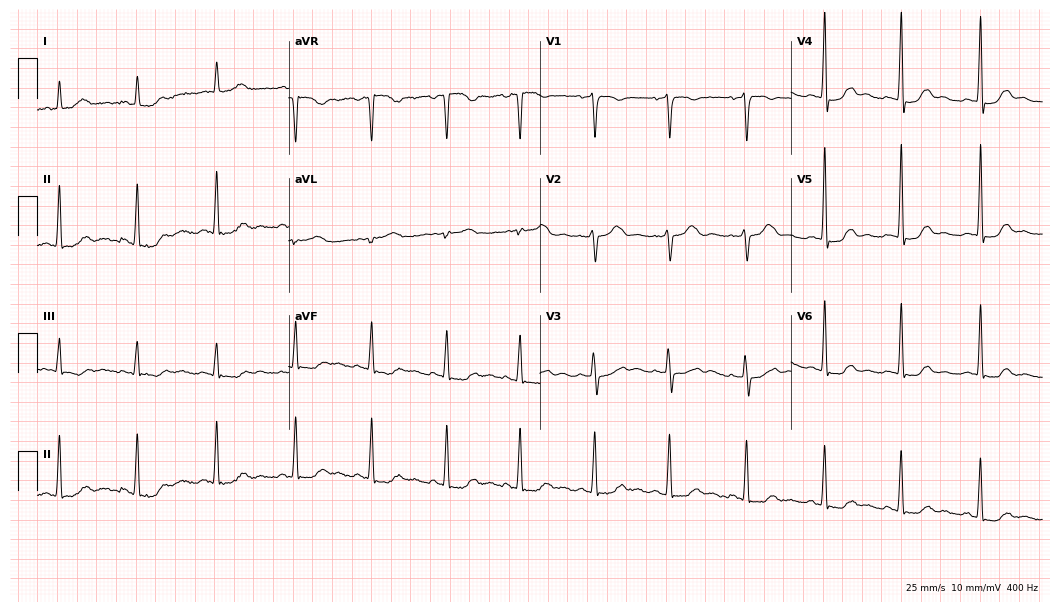
Electrocardiogram (10.2-second recording at 400 Hz), a female, 48 years old. Of the six screened findings (first-degree AV block, right bundle branch block (RBBB), left bundle branch block (LBBB), sinus bradycardia, atrial fibrillation (AF), sinus tachycardia), none is recorded. Other findings, if any, are not listed.